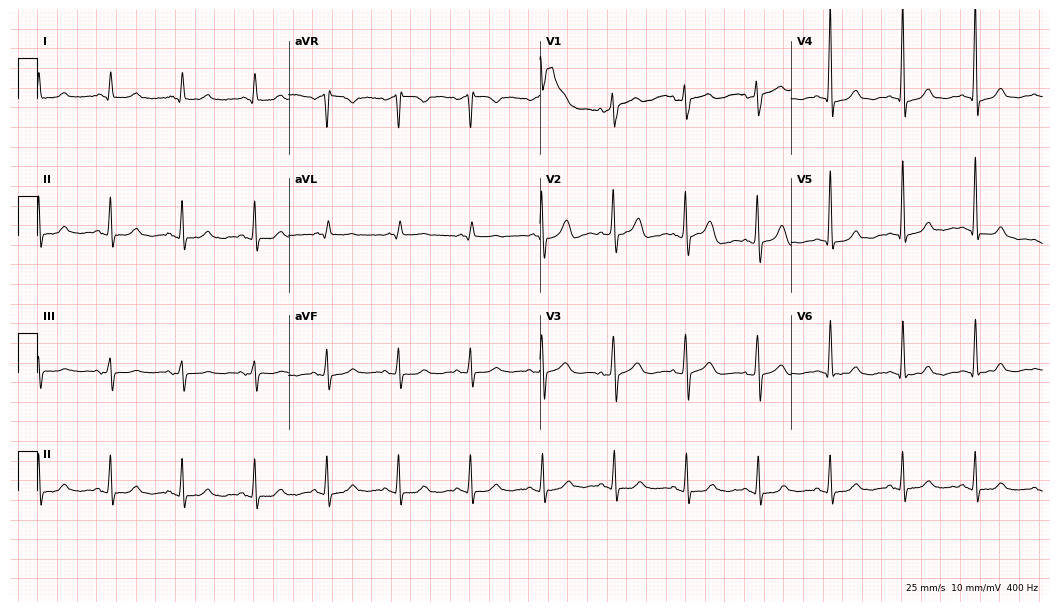
Electrocardiogram, an 81-year-old woman. Of the six screened findings (first-degree AV block, right bundle branch block (RBBB), left bundle branch block (LBBB), sinus bradycardia, atrial fibrillation (AF), sinus tachycardia), none is recorded.